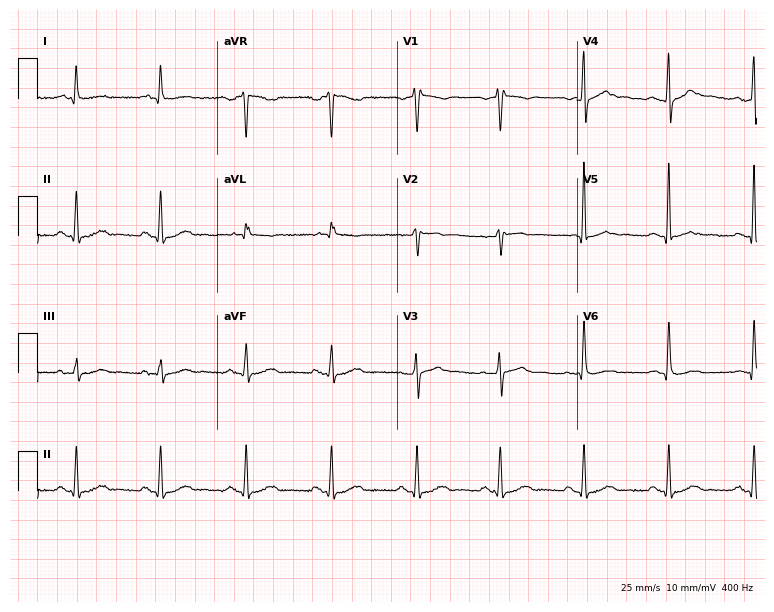
Resting 12-lead electrocardiogram (7.3-second recording at 400 Hz). Patient: a man, 55 years old. Read as a normal ECG.